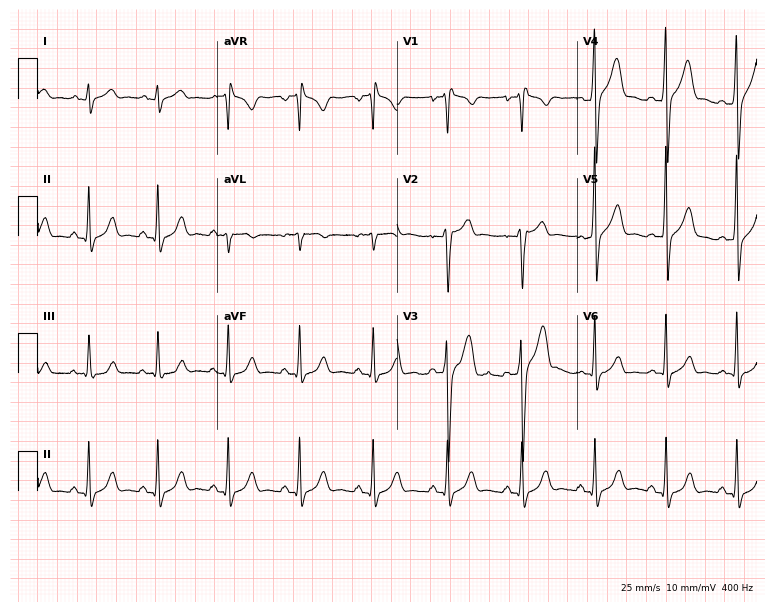
Standard 12-lead ECG recorded from a 17-year-old male. None of these six findings is recorded: first-degree AV block, right bundle branch block (RBBB), left bundle branch block (LBBB), sinus bradycardia, atrial fibrillation (AF), sinus tachycardia.